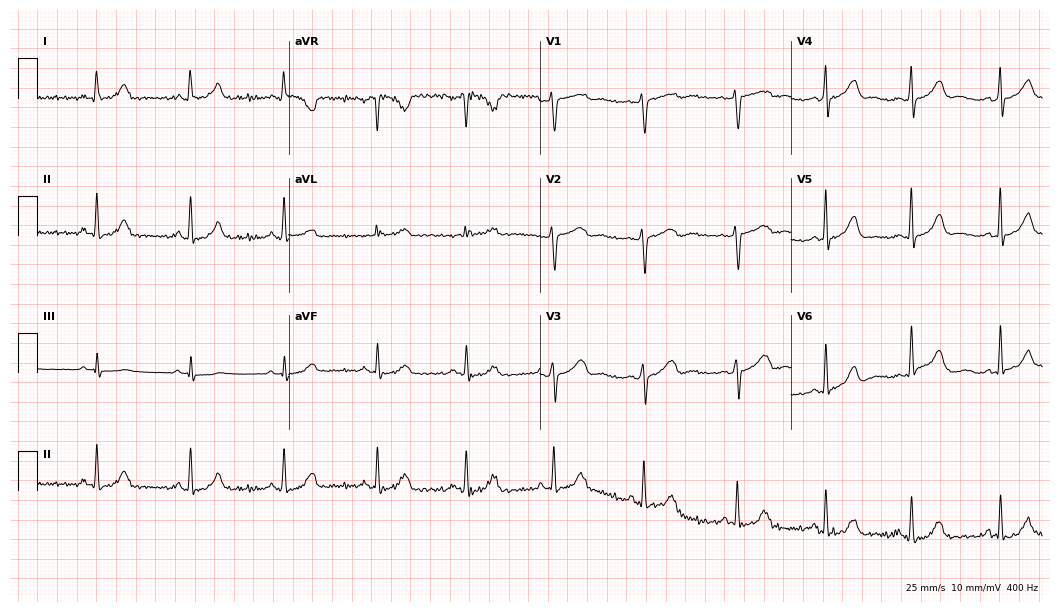
Electrocardiogram, a woman, 45 years old. Overall reading on record: normal ECG.